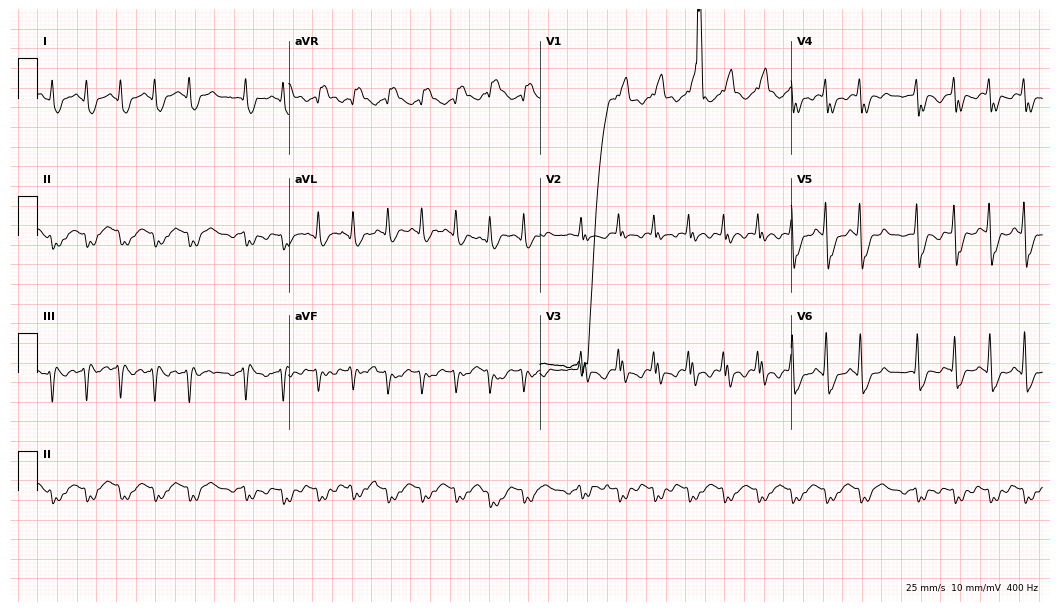
Resting 12-lead electrocardiogram (10.2-second recording at 400 Hz). Patient: a male, 72 years old. None of these six findings is recorded: first-degree AV block, right bundle branch block, left bundle branch block, sinus bradycardia, atrial fibrillation, sinus tachycardia. Only these six findings were labelled.